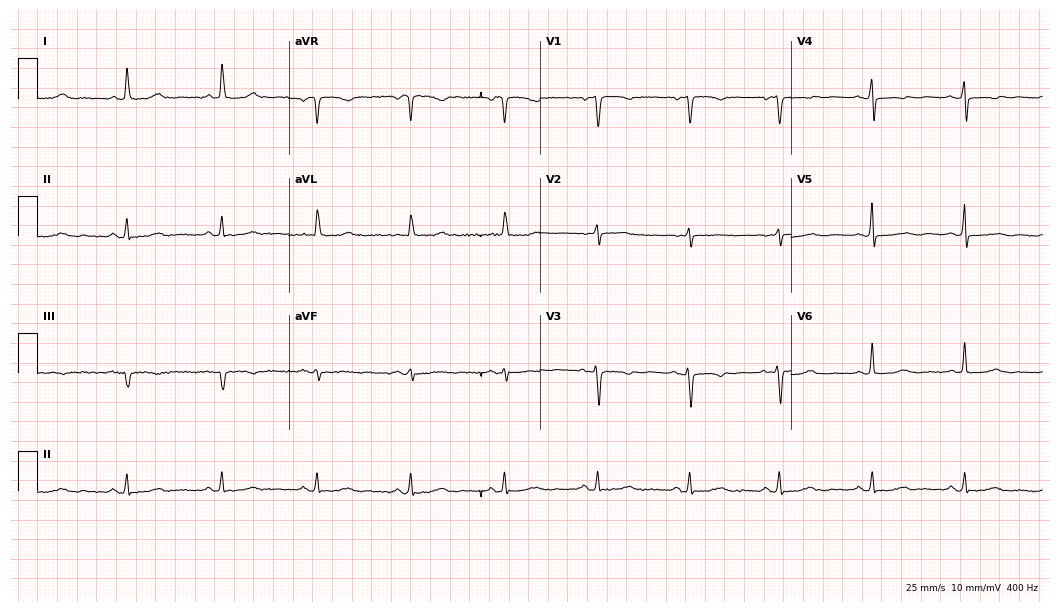
Resting 12-lead electrocardiogram (10.2-second recording at 400 Hz). Patient: a 69-year-old woman. None of these six findings is recorded: first-degree AV block, right bundle branch block (RBBB), left bundle branch block (LBBB), sinus bradycardia, atrial fibrillation (AF), sinus tachycardia.